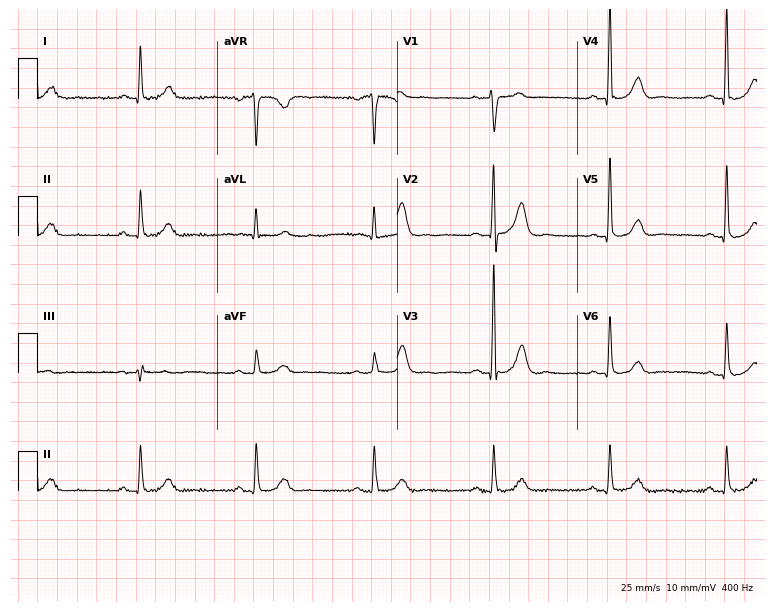
Electrocardiogram, a male patient, 64 years old. Of the six screened findings (first-degree AV block, right bundle branch block (RBBB), left bundle branch block (LBBB), sinus bradycardia, atrial fibrillation (AF), sinus tachycardia), none is recorded.